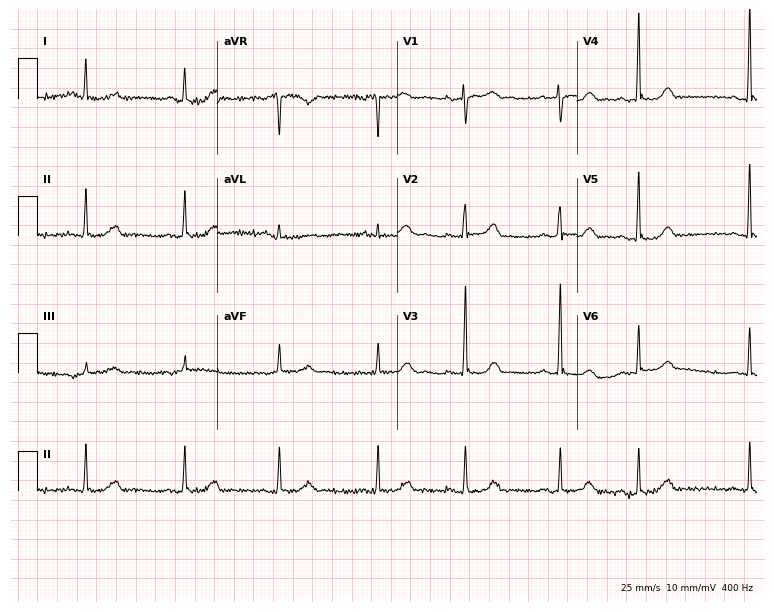
Resting 12-lead electrocardiogram. Patient: a 62-year-old female. None of these six findings is recorded: first-degree AV block, right bundle branch block, left bundle branch block, sinus bradycardia, atrial fibrillation, sinus tachycardia.